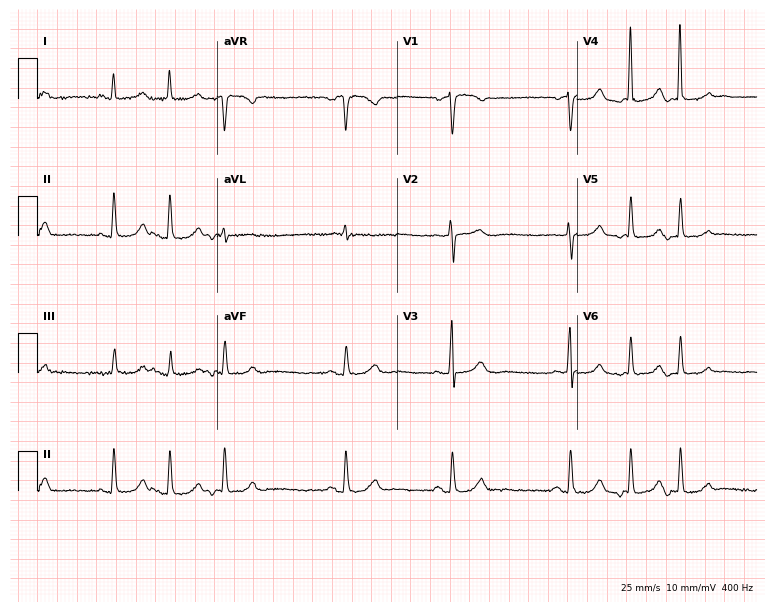
Resting 12-lead electrocardiogram. Patient: a 76-year-old female. None of these six findings is recorded: first-degree AV block, right bundle branch block, left bundle branch block, sinus bradycardia, atrial fibrillation, sinus tachycardia.